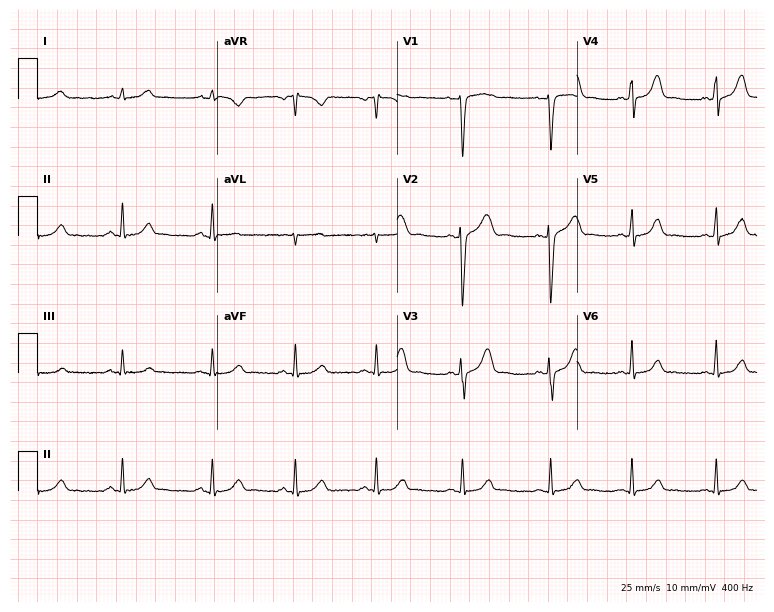
12-lead ECG (7.3-second recording at 400 Hz) from a female patient, 22 years old. Labelled as a normal ECG.